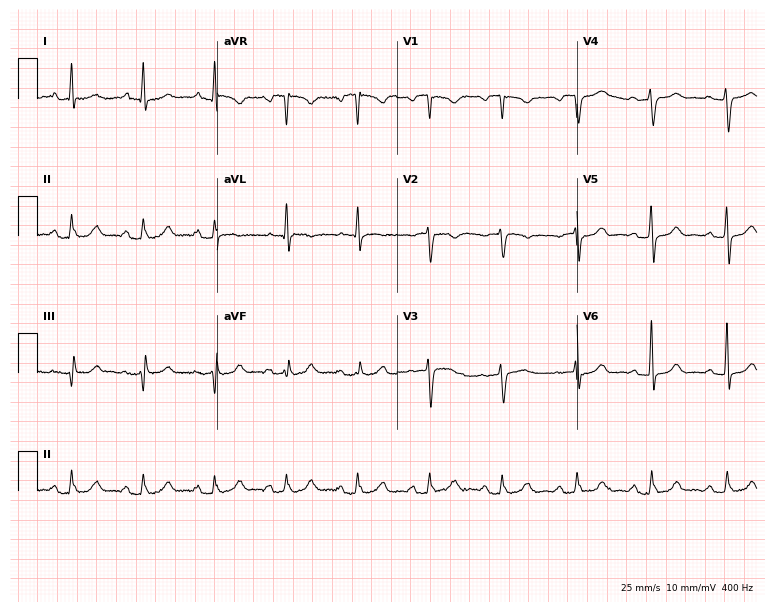
Standard 12-lead ECG recorded from a 72-year-old woman. Read as a normal ECG.